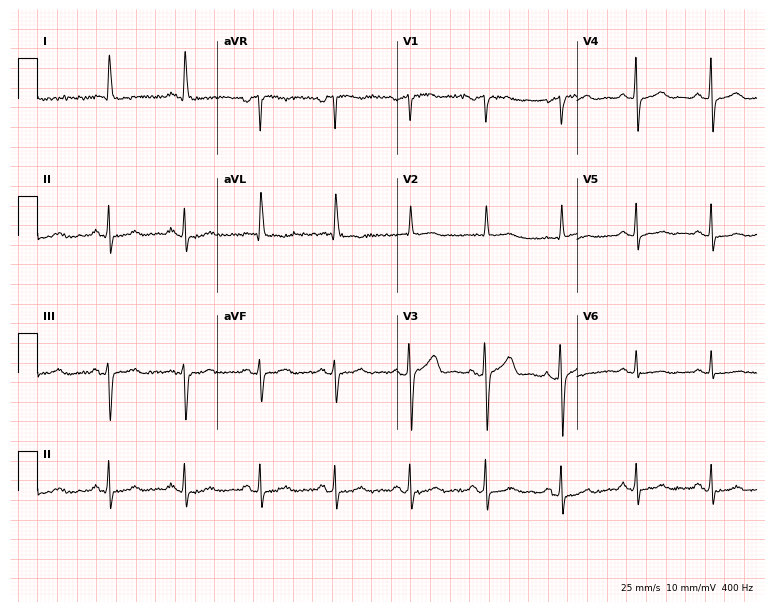
12-lead ECG from a 54-year-old woman. No first-degree AV block, right bundle branch block, left bundle branch block, sinus bradycardia, atrial fibrillation or sinus tachycardia recorded for this tracing.